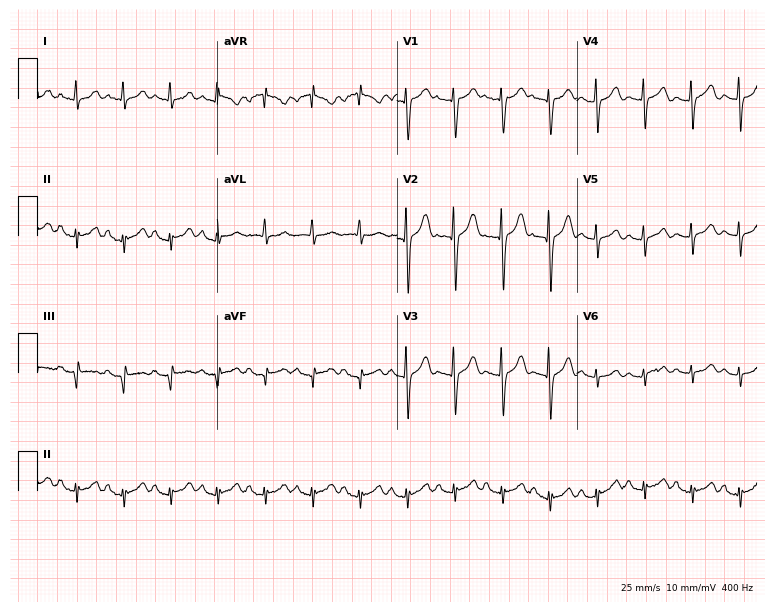
12-lead ECG from a 35-year-old woman. Findings include sinus tachycardia (a sinus rate of 100 beats per minute or more).